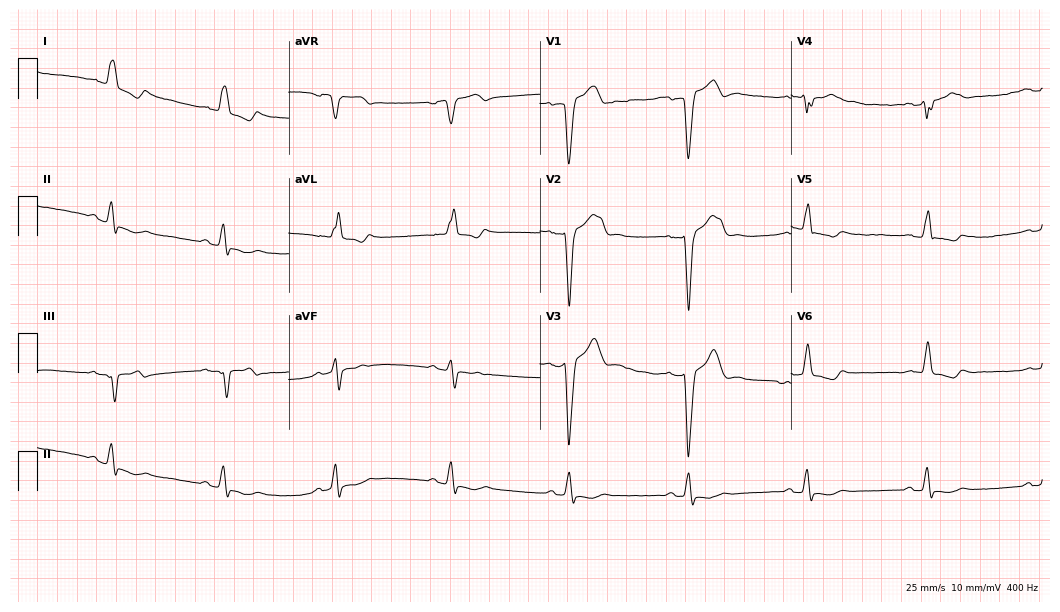
12-lead ECG from a 73-year-old male patient (10.2-second recording at 400 Hz). Shows left bundle branch block.